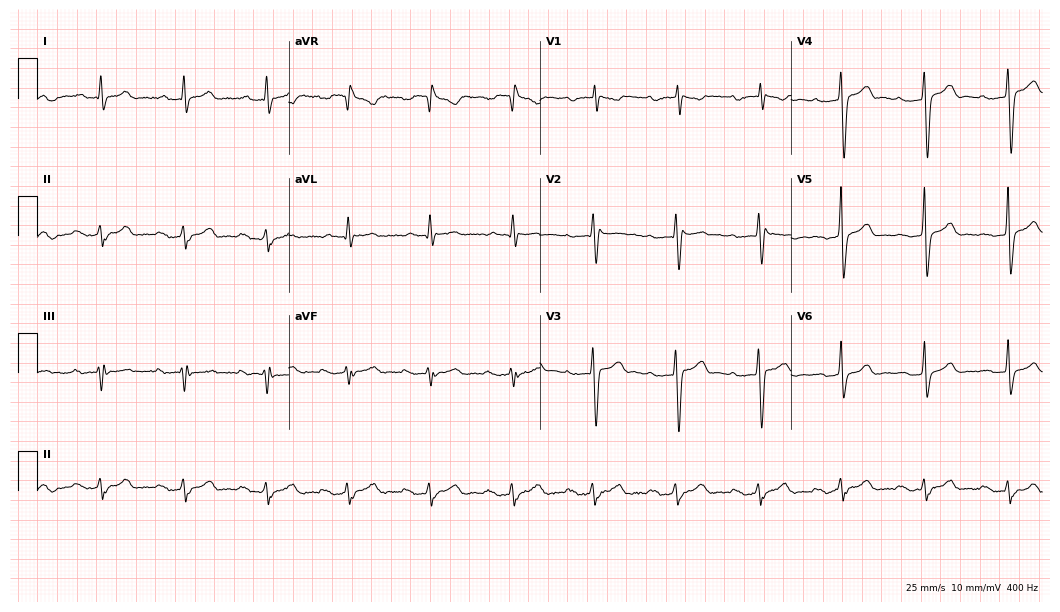
Electrocardiogram, a 51-year-old male. Interpretation includes first-degree AV block.